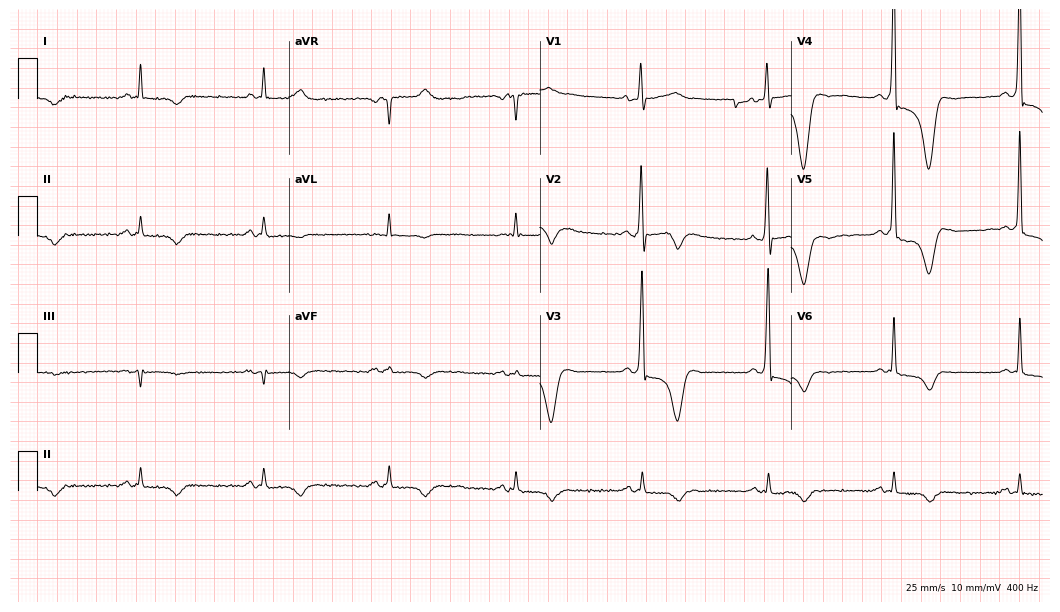
Resting 12-lead electrocardiogram (10.2-second recording at 400 Hz). Patient: a 57-year-old male. None of these six findings is recorded: first-degree AV block, right bundle branch block (RBBB), left bundle branch block (LBBB), sinus bradycardia, atrial fibrillation (AF), sinus tachycardia. Only these six findings were labelled.